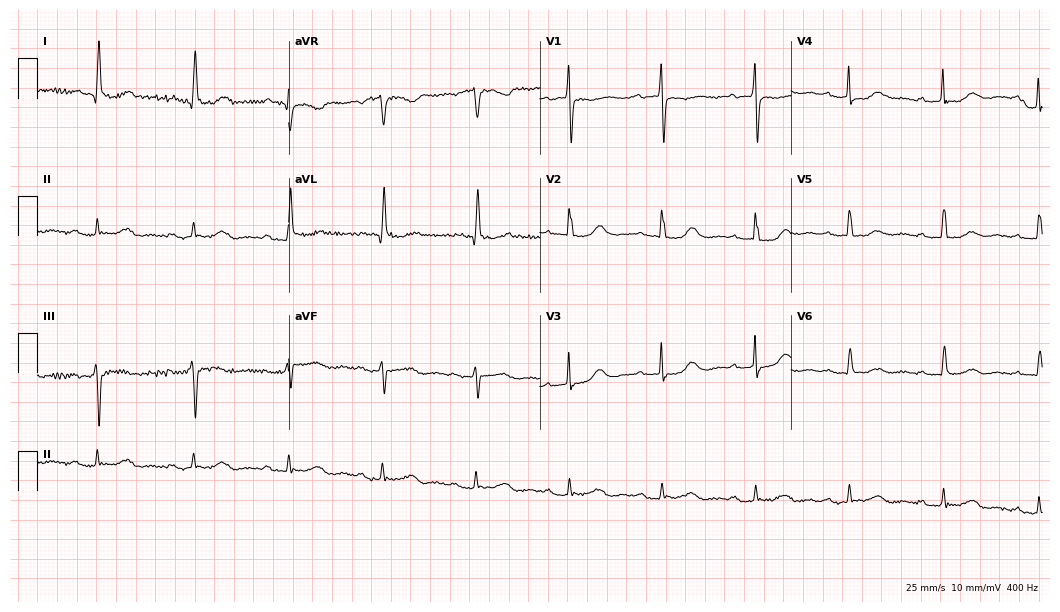
Resting 12-lead electrocardiogram. Patient: an 86-year-old female. None of these six findings is recorded: first-degree AV block, right bundle branch block (RBBB), left bundle branch block (LBBB), sinus bradycardia, atrial fibrillation (AF), sinus tachycardia.